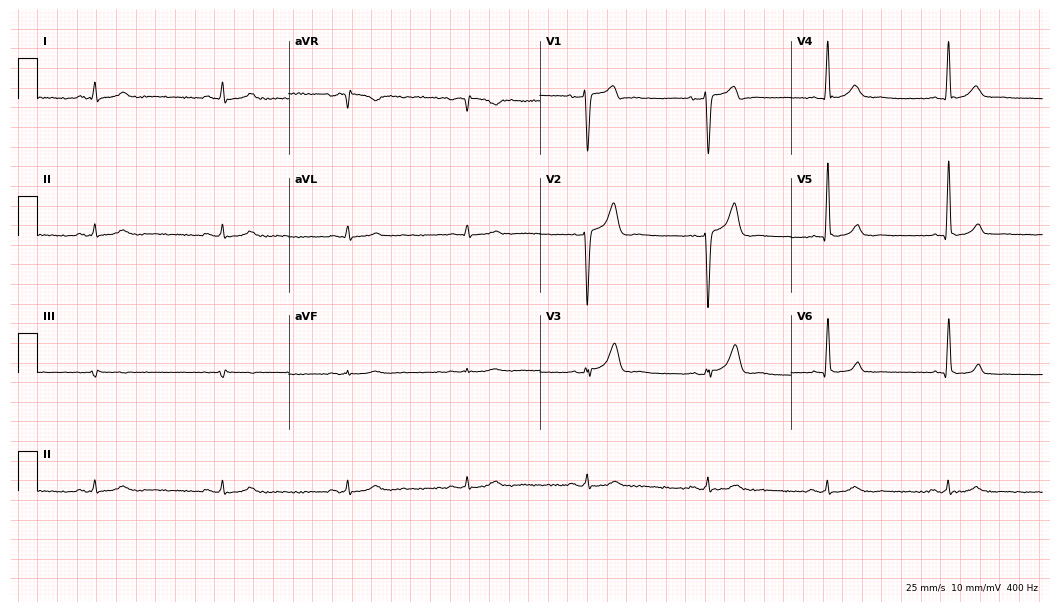
Resting 12-lead electrocardiogram. Patient: a male, 55 years old. The tracing shows sinus bradycardia (a sinus rate of 50 beats per minute or less).